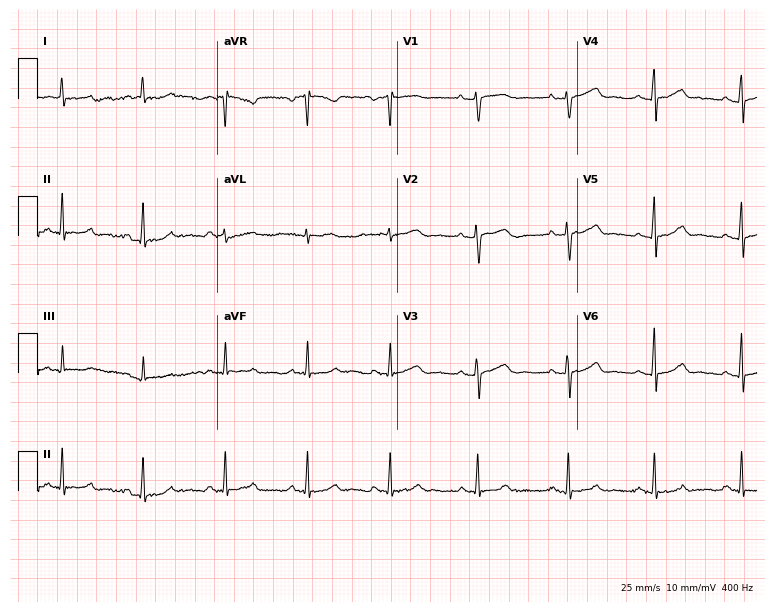
Standard 12-lead ECG recorded from a woman, 29 years old. Read as a normal ECG.